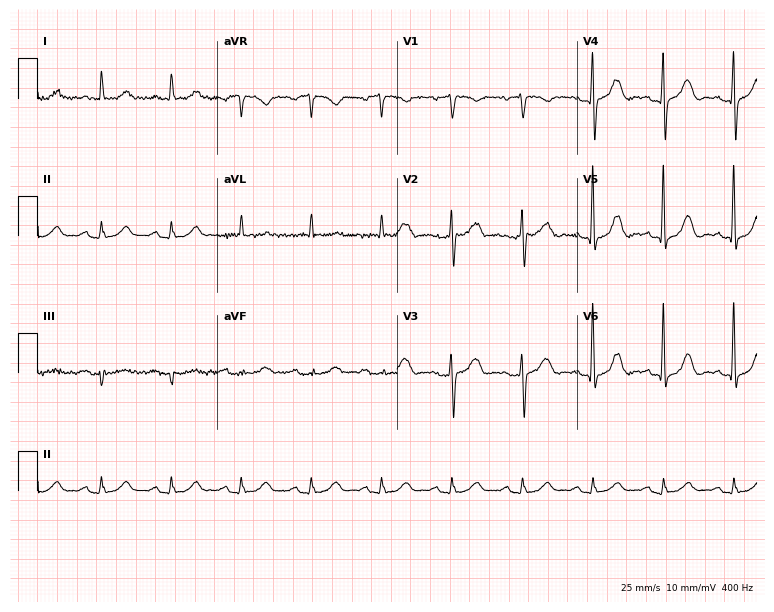
ECG — a 66-year-old female patient. Labelled as a normal ECG.